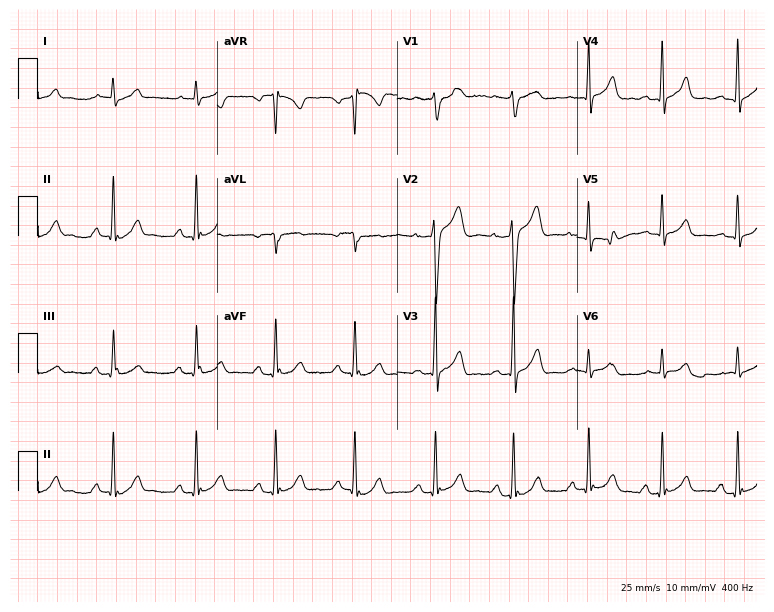
Electrocardiogram (7.3-second recording at 400 Hz), a 27-year-old male. Overall reading on record: normal ECG.